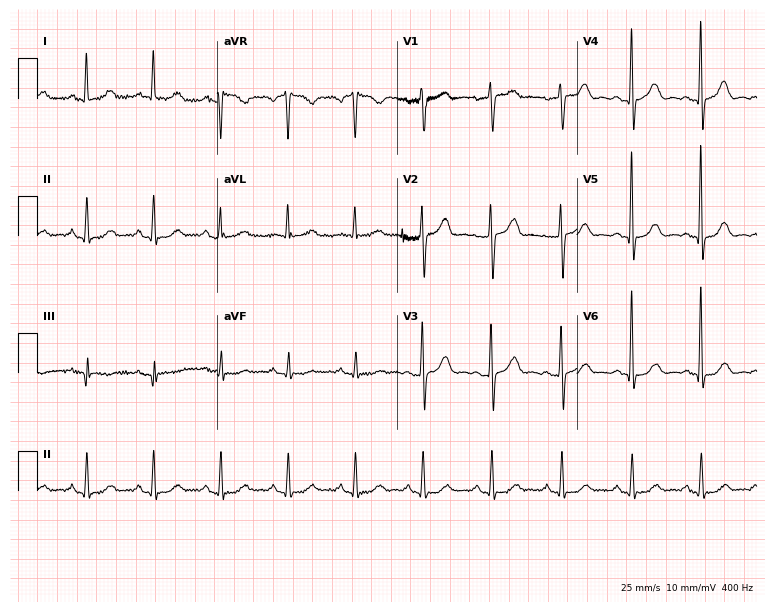
Resting 12-lead electrocardiogram. Patient: a woman, 63 years old. Read as a normal ECG.